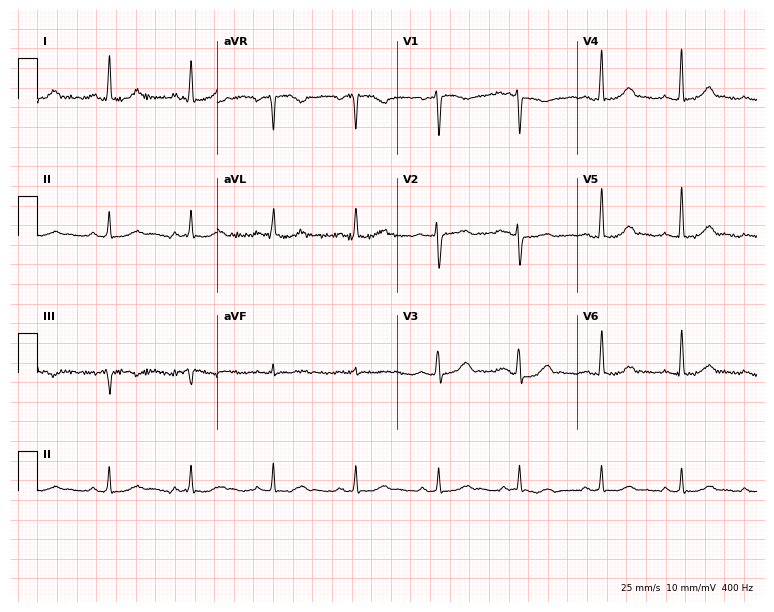
Standard 12-lead ECG recorded from a female patient, 37 years old. None of these six findings is recorded: first-degree AV block, right bundle branch block, left bundle branch block, sinus bradycardia, atrial fibrillation, sinus tachycardia.